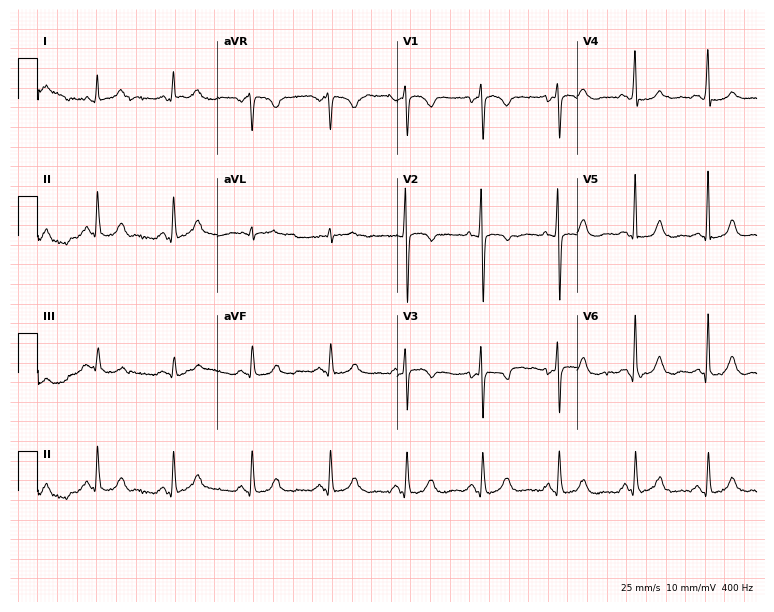
12-lead ECG (7.3-second recording at 400 Hz) from a female patient, 47 years old. Screened for six findings — first-degree AV block, right bundle branch block, left bundle branch block, sinus bradycardia, atrial fibrillation, sinus tachycardia — none is recorded.